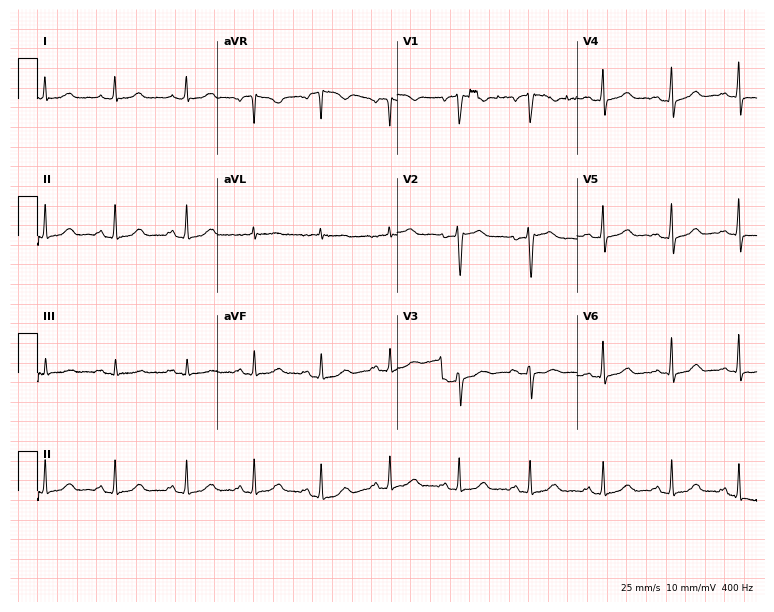
Resting 12-lead electrocardiogram (7.3-second recording at 400 Hz). Patient: a 64-year-old female. Read as a normal ECG.